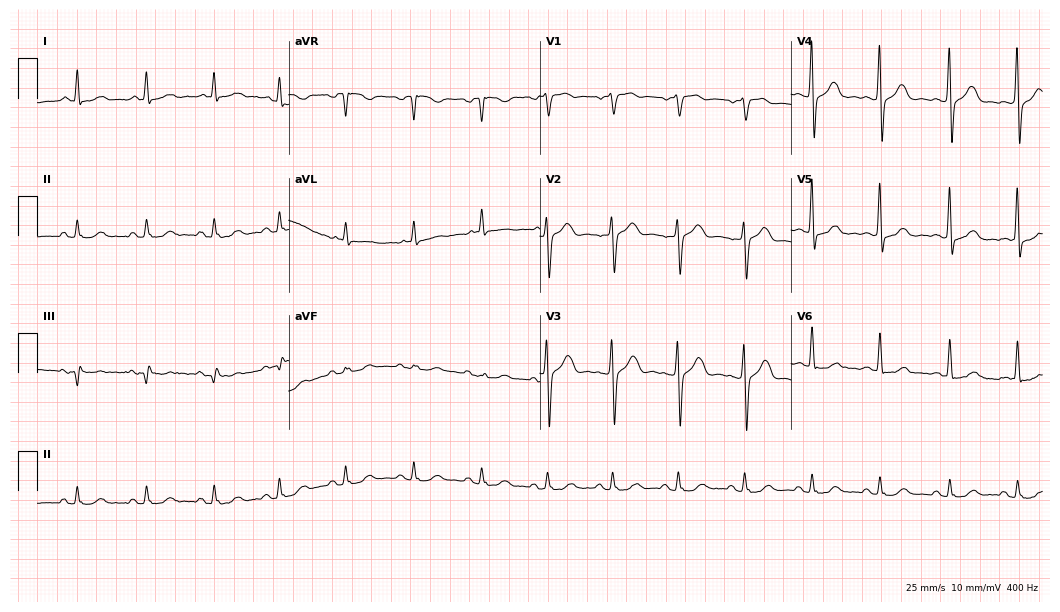
ECG — a 52-year-old male patient. Labelled as a normal ECG.